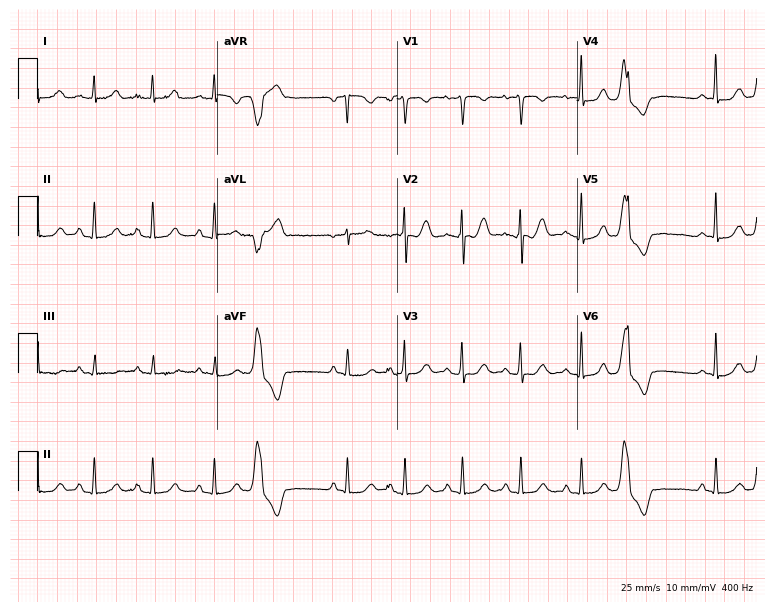
Electrocardiogram (7.3-second recording at 400 Hz), a 19-year-old woman. Of the six screened findings (first-degree AV block, right bundle branch block, left bundle branch block, sinus bradycardia, atrial fibrillation, sinus tachycardia), none is recorded. Only these six findings were labelled.